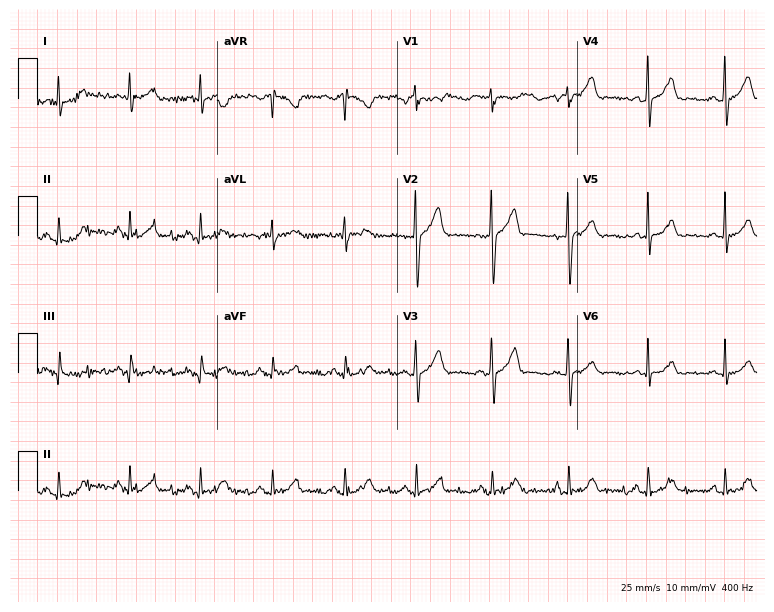
Standard 12-lead ECG recorded from a man, 33 years old (7.3-second recording at 400 Hz). None of these six findings is recorded: first-degree AV block, right bundle branch block, left bundle branch block, sinus bradycardia, atrial fibrillation, sinus tachycardia.